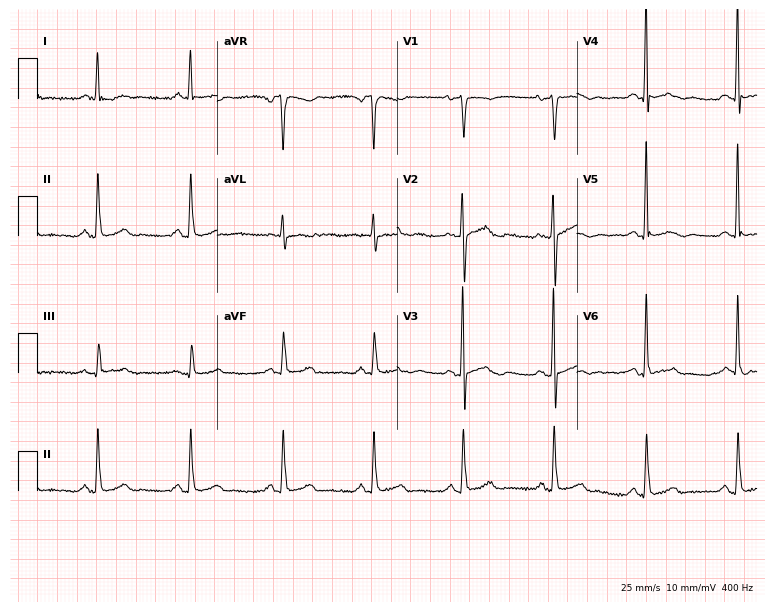
12-lead ECG from a woman, 55 years old (7.3-second recording at 400 Hz). No first-degree AV block, right bundle branch block, left bundle branch block, sinus bradycardia, atrial fibrillation or sinus tachycardia recorded for this tracing.